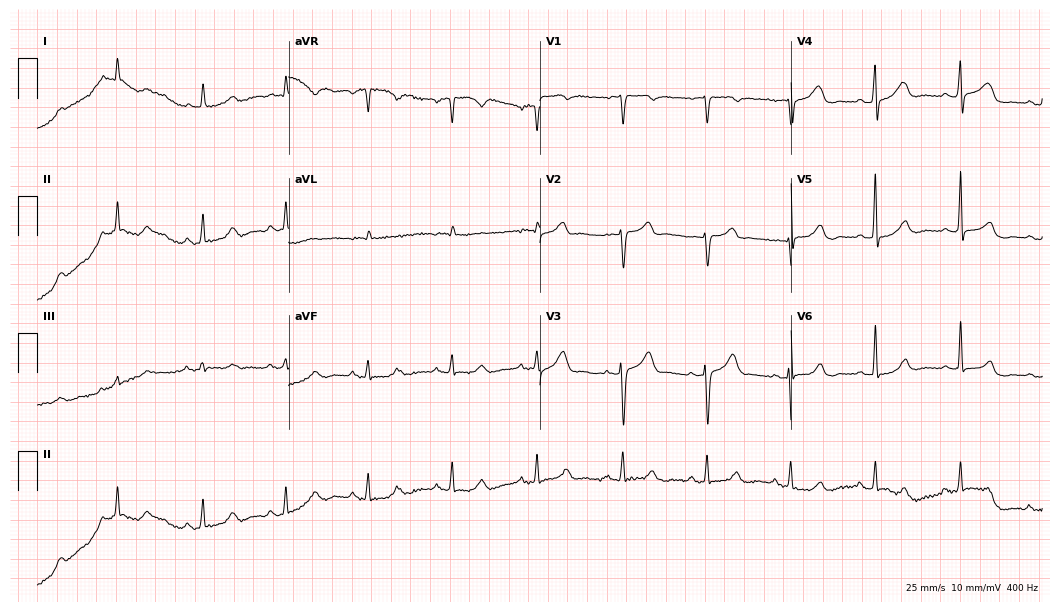
Resting 12-lead electrocardiogram. Patient: a 45-year-old female. Read as a normal ECG.